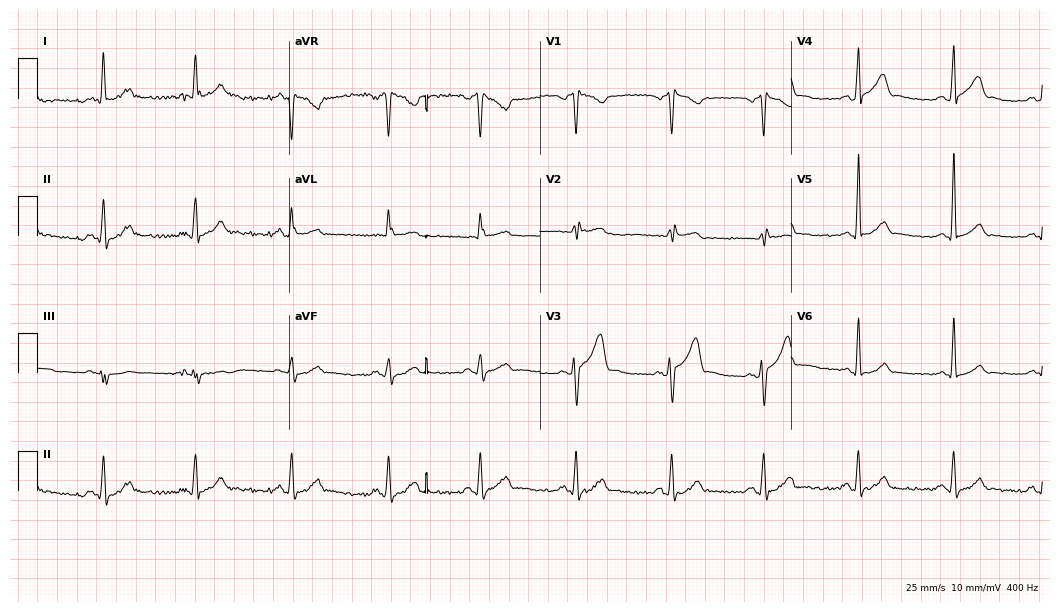
ECG (10.2-second recording at 400 Hz) — a 33-year-old male. Screened for six findings — first-degree AV block, right bundle branch block, left bundle branch block, sinus bradycardia, atrial fibrillation, sinus tachycardia — none is recorded.